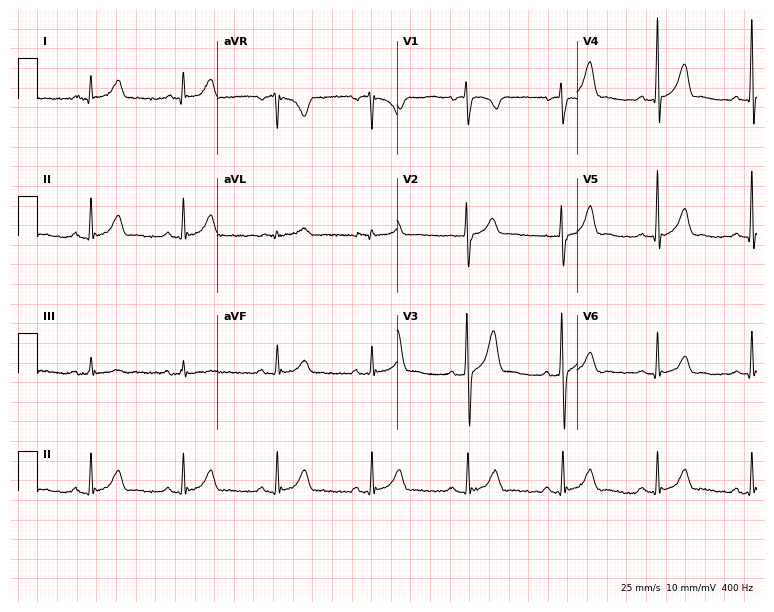
ECG — a 67-year-old male. Labelled as a normal ECG.